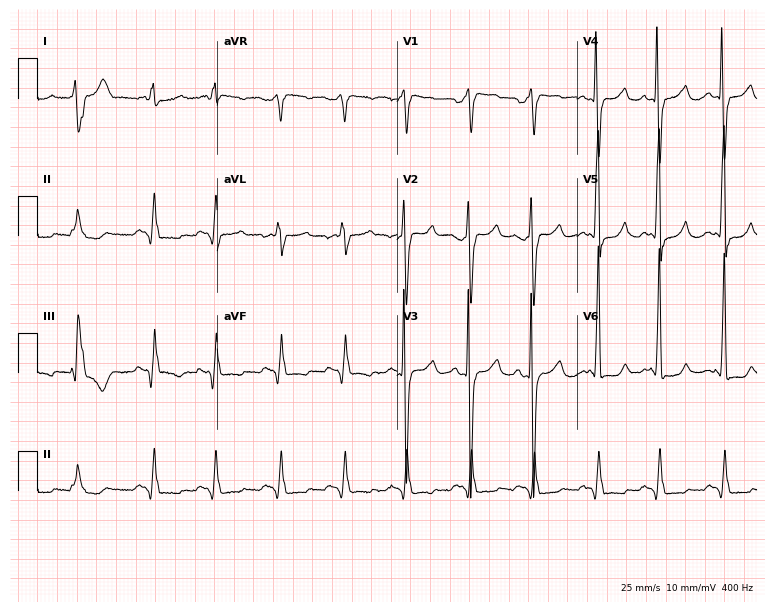
ECG (7.3-second recording at 400 Hz) — a 47-year-old female. Screened for six findings — first-degree AV block, right bundle branch block, left bundle branch block, sinus bradycardia, atrial fibrillation, sinus tachycardia — none is recorded.